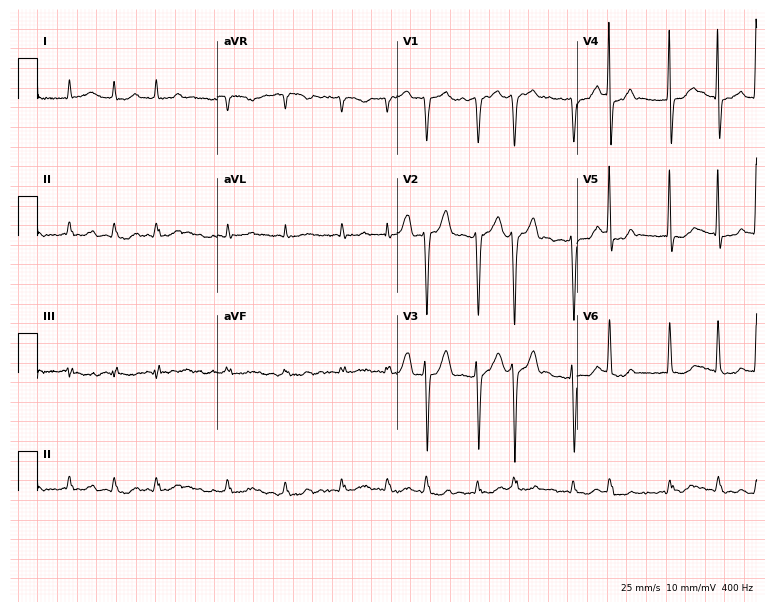
Electrocardiogram (7.3-second recording at 400 Hz), an 80-year-old male. Interpretation includes atrial fibrillation.